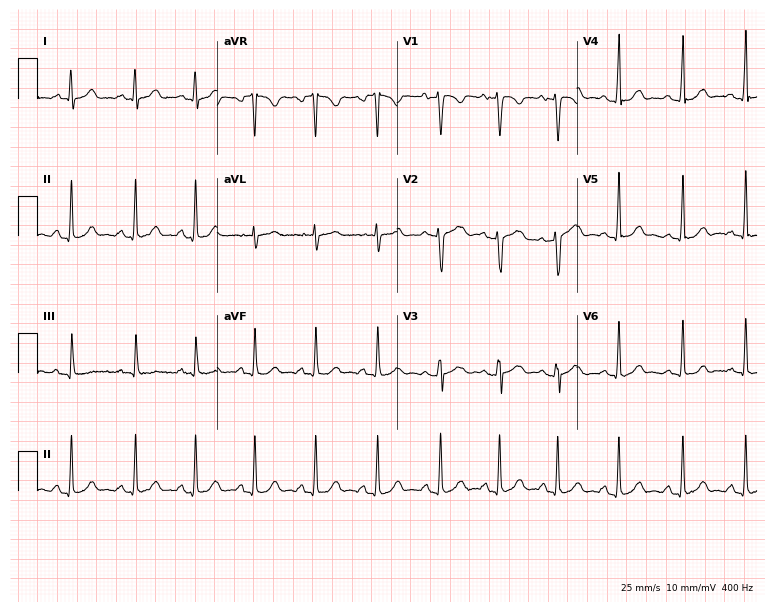
12-lead ECG from a female, 17 years old. Screened for six findings — first-degree AV block, right bundle branch block, left bundle branch block, sinus bradycardia, atrial fibrillation, sinus tachycardia — none is recorded. Only these six findings were labelled.